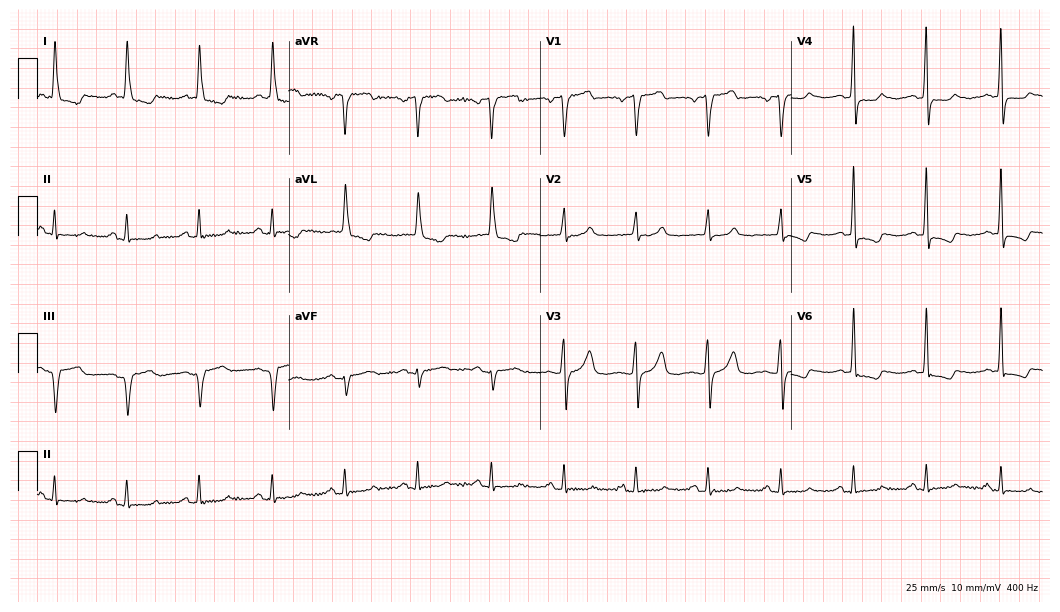
ECG (10.2-second recording at 400 Hz) — a 71-year-old female patient. Screened for six findings — first-degree AV block, right bundle branch block, left bundle branch block, sinus bradycardia, atrial fibrillation, sinus tachycardia — none is recorded. Only these six findings were labelled.